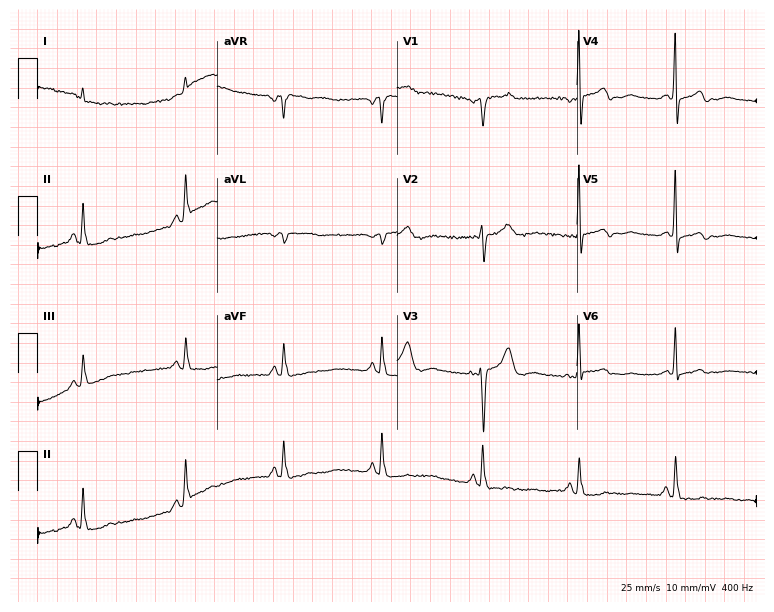
Resting 12-lead electrocardiogram. Patient: a 78-year-old female. None of these six findings is recorded: first-degree AV block, right bundle branch block, left bundle branch block, sinus bradycardia, atrial fibrillation, sinus tachycardia.